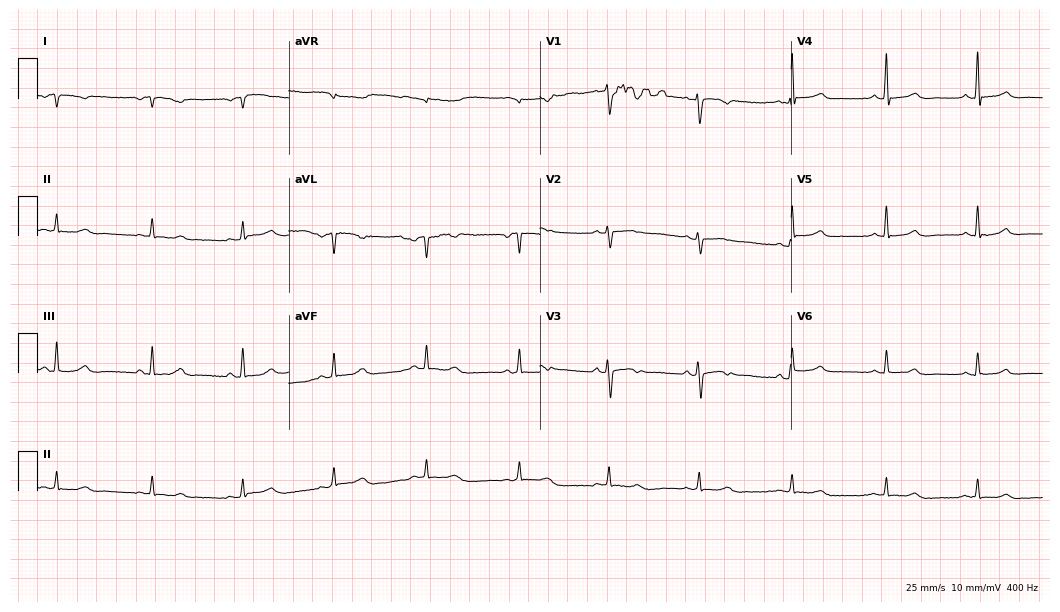
12-lead ECG (10.2-second recording at 400 Hz) from a 52-year-old woman. Screened for six findings — first-degree AV block, right bundle branch block, left bundle branch block, sinus bradycardia, atrial fibrillation, sinus tachycardia — none is recorded. Findings outside these six are not listed.